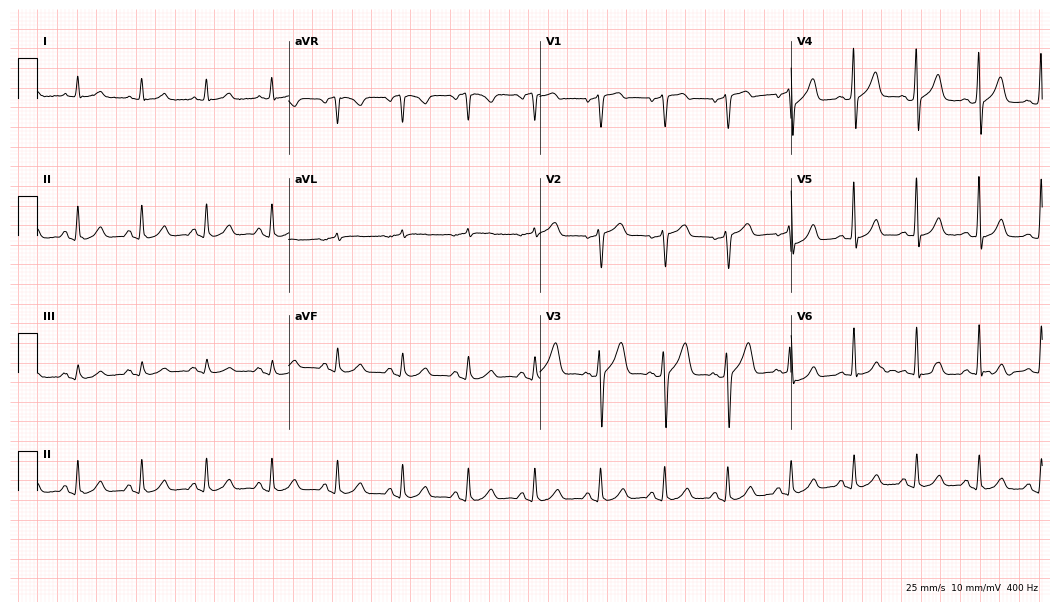
12-lead ECG from a 62-year-old man. Labelled as a normal ECG.